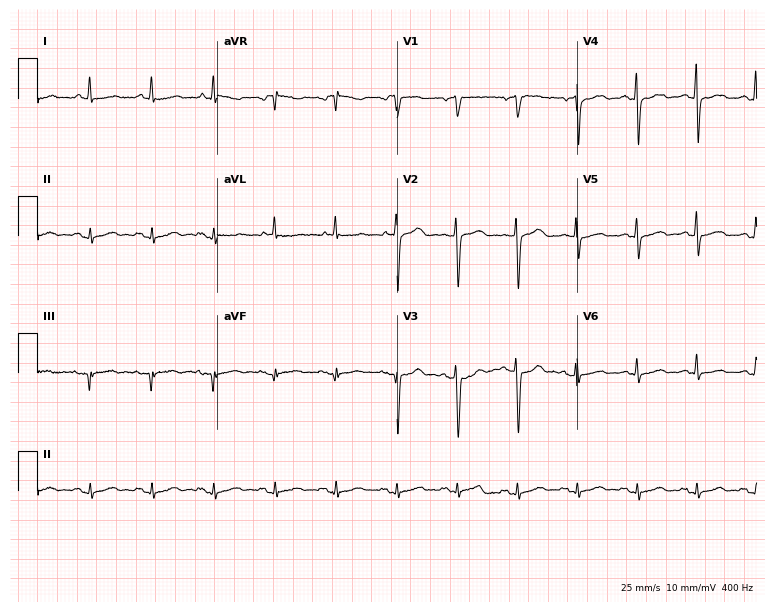
Electrocardiogram, a 69-year-old woman. Of the six screened findings (first-degree AV block, right bundle branch block (RBBB), left bundle branch block (LBBB), sinus bradycardia, atrial fibrillation (AF), sinus tachycardia), none is recorded.